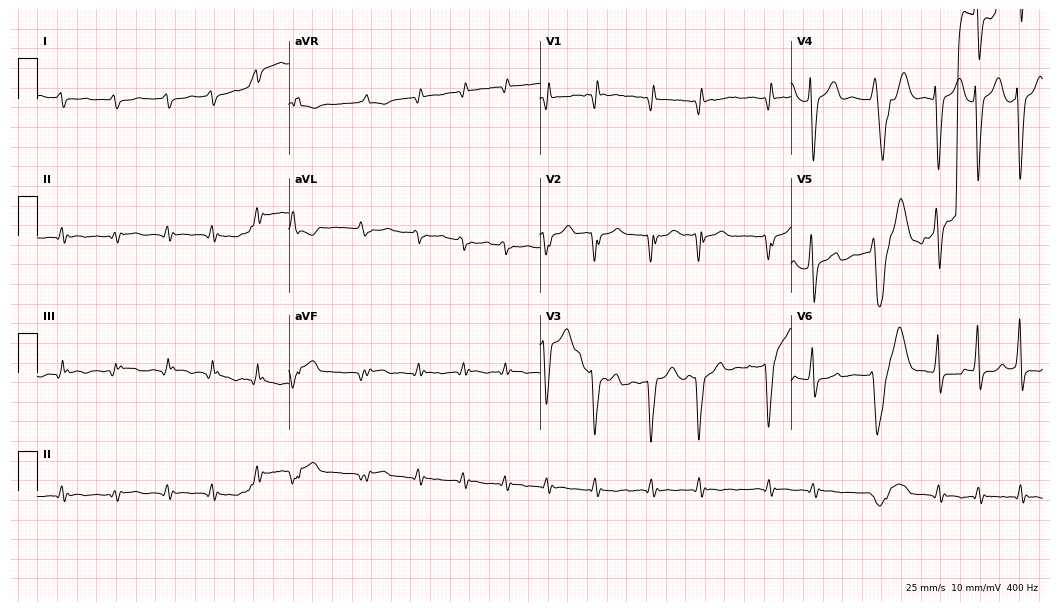
12-lead ECG (10.2-second recording at 400 Hz) from a male, 83 years old. Findings include atrial fibrillation.